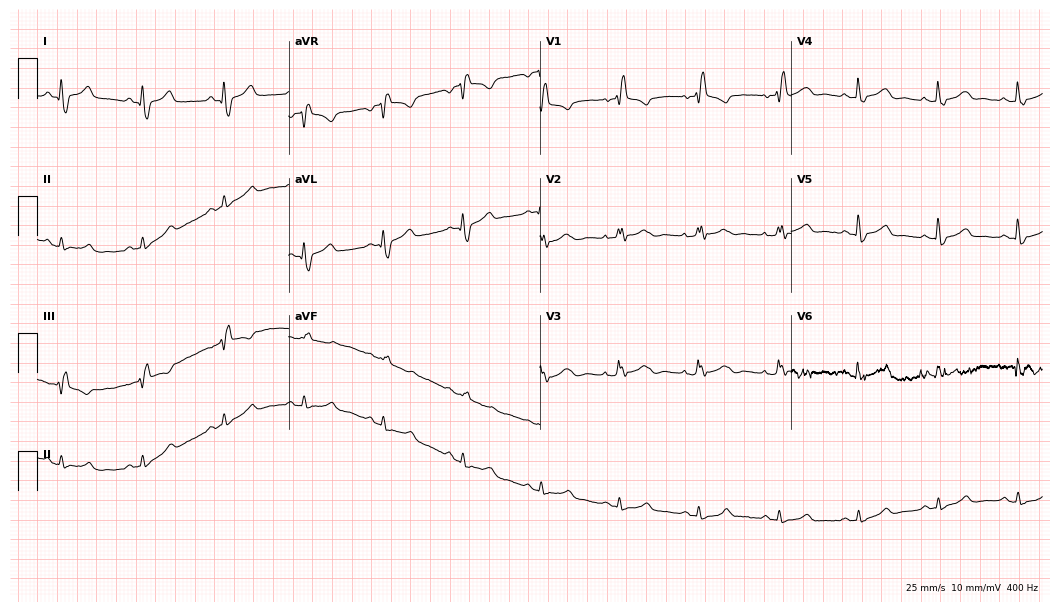
Resting 12-lead electrocardiogram (10.2-second recording at 400 Hz). Patient: a woman, 55 years old. The tracing shows right bundle branch block.